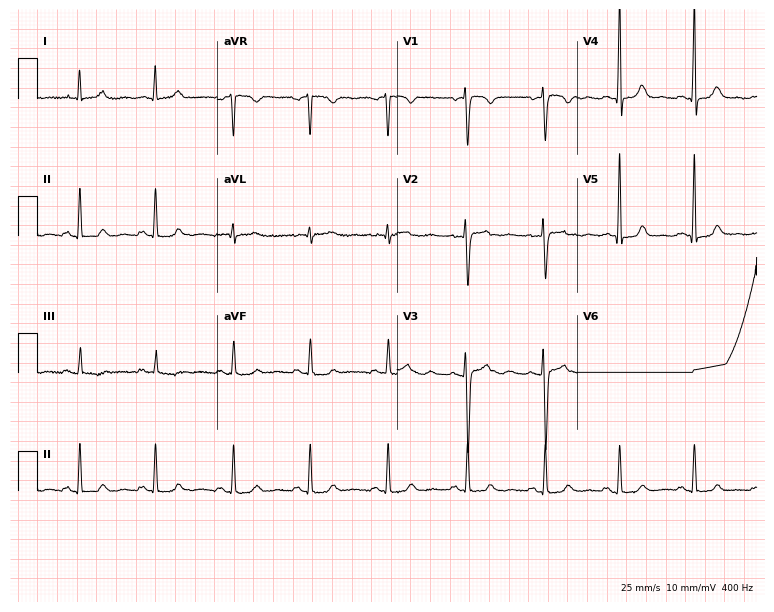
12-lead ECG (7.3-second recording at 400 Hz) from a 32-year-old female. Labelled as a normal ECG.